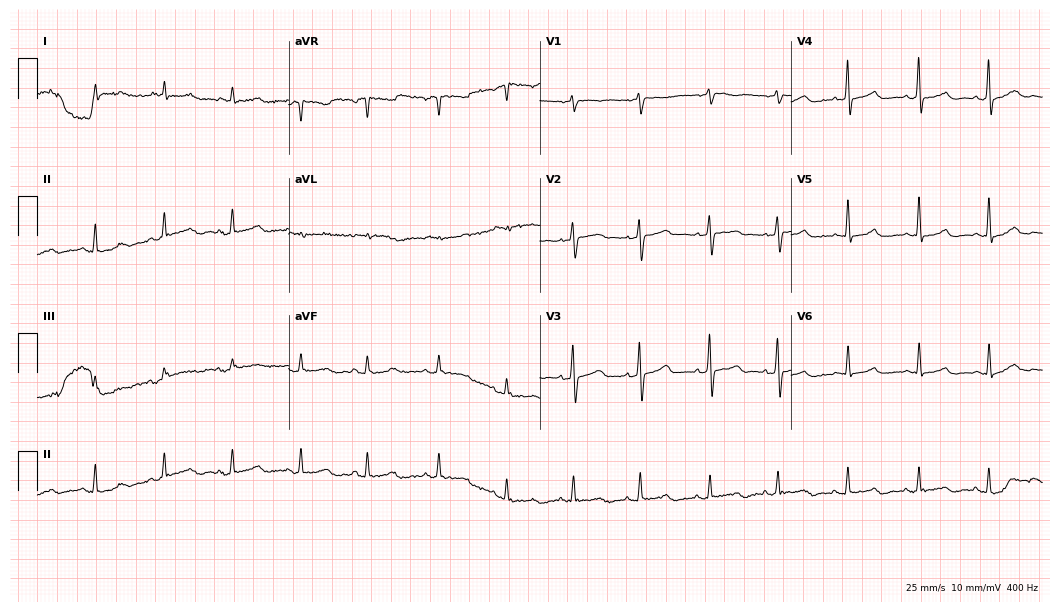
ECG — a male, 72 years old. Labelled as a normal ECG.